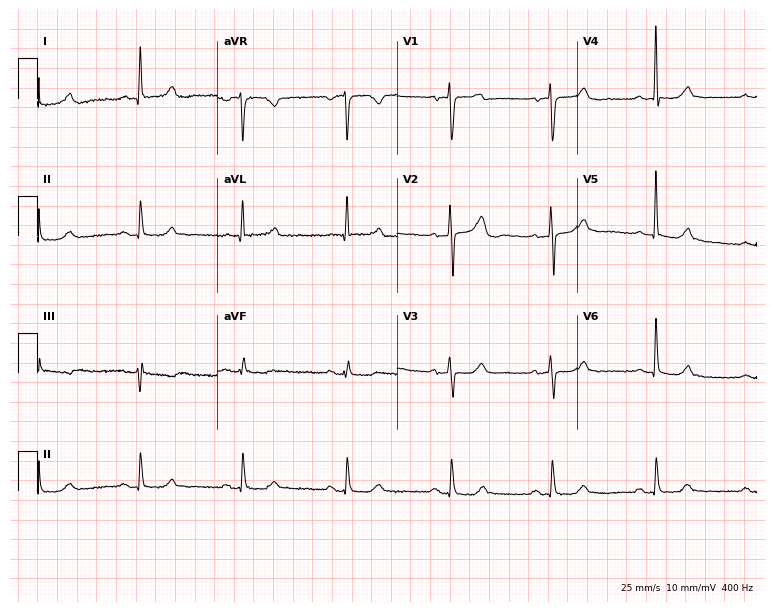
12-lead ECG from a 70-year-old male patient. No first-degree AV block, right bundle branch block (RBBB), left bundle branch block (LBBB), sinus bradycardia, atrial fibrillation (AF) or sinus tachycardia recorded for this tracing. Findings outside these six are not listed.